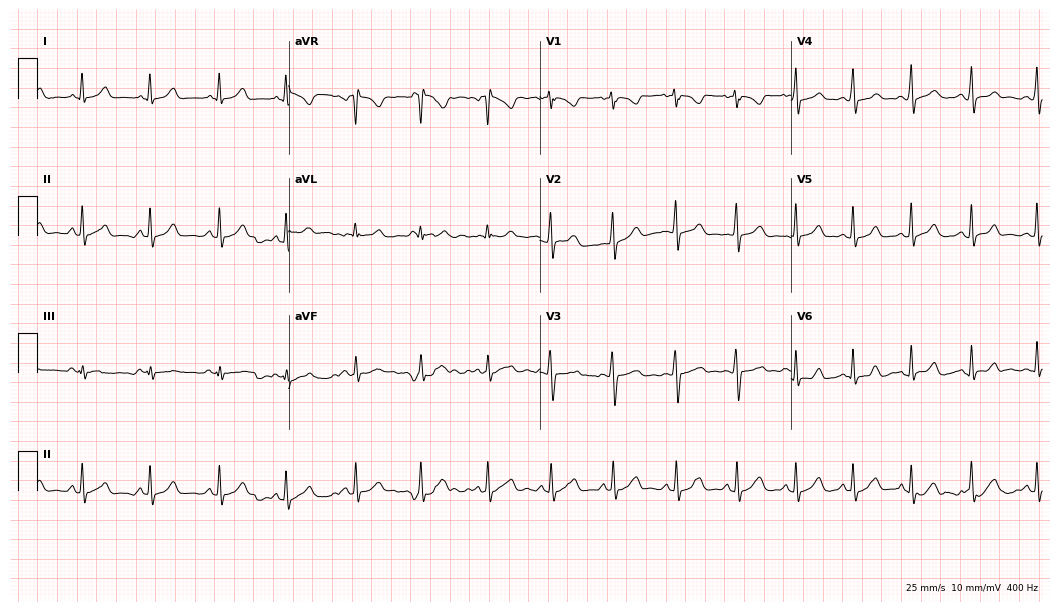
Resting 12-lead electrocardiogram. Patient: a 19-year-old female. Read as a normal ECG.